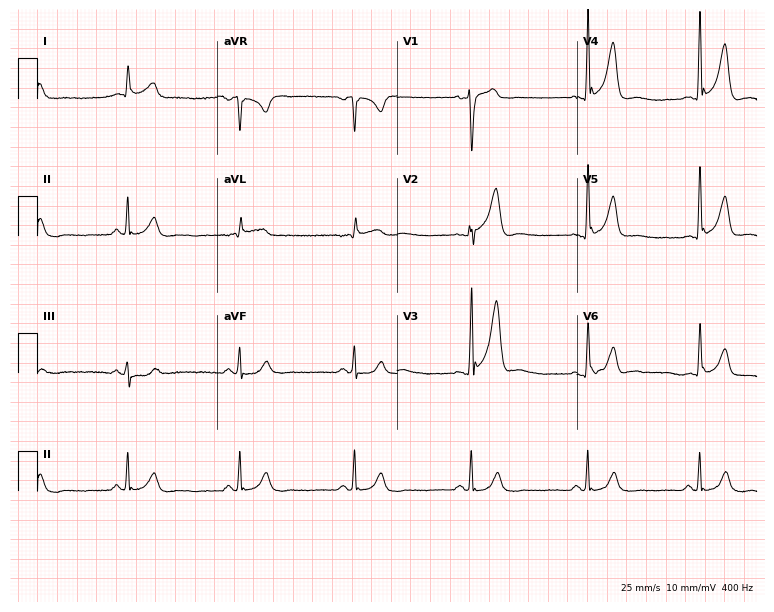
Standard 12-lead ECG recorded from a 65-year-old male patient. Read as a normal ECG.